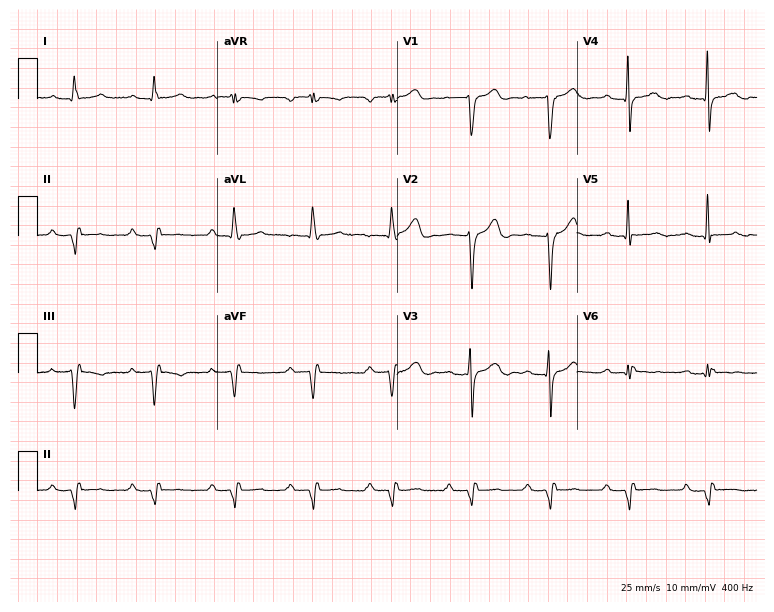
ECG — a 70-year-old male. Findings include first-degree AV block.